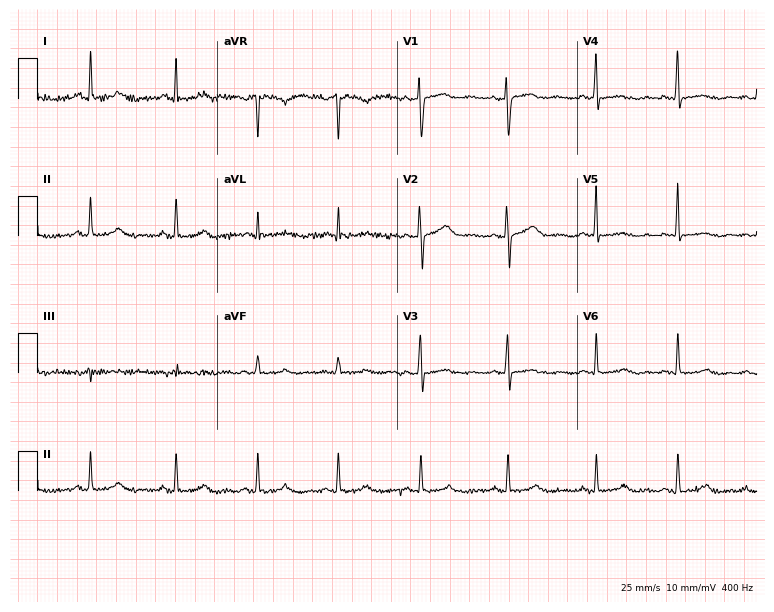
Resting 12-lead electrocardiogram (7.3-second recording at 400 Hz). Patient: a 52-year-old female. Read as a normal ECG.